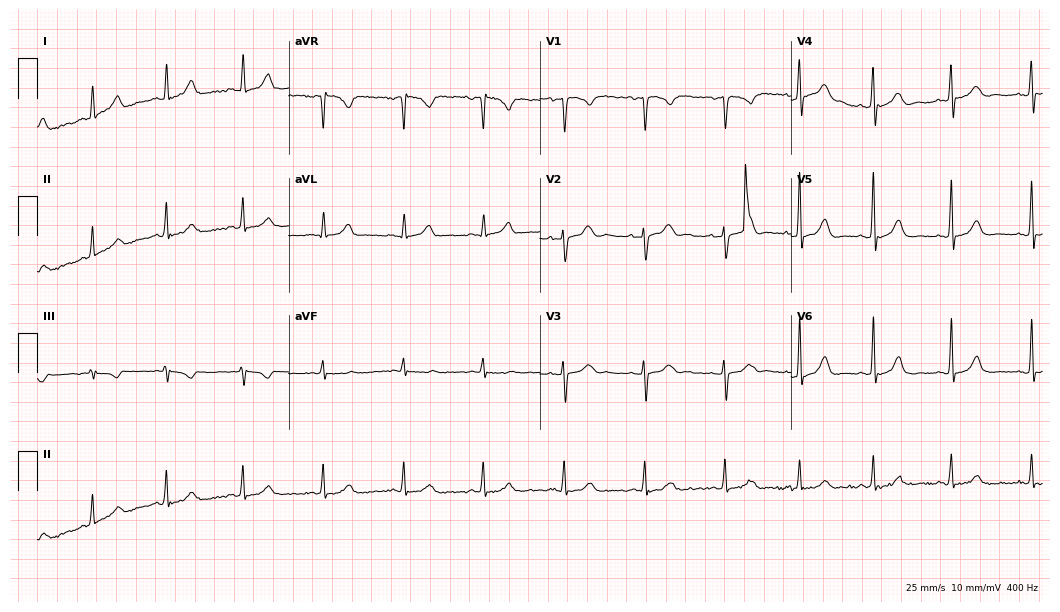
12-lead ECG (10.2-second recording at 400 Hz) from a 23-year-old female. Labelled as a normal ECG.